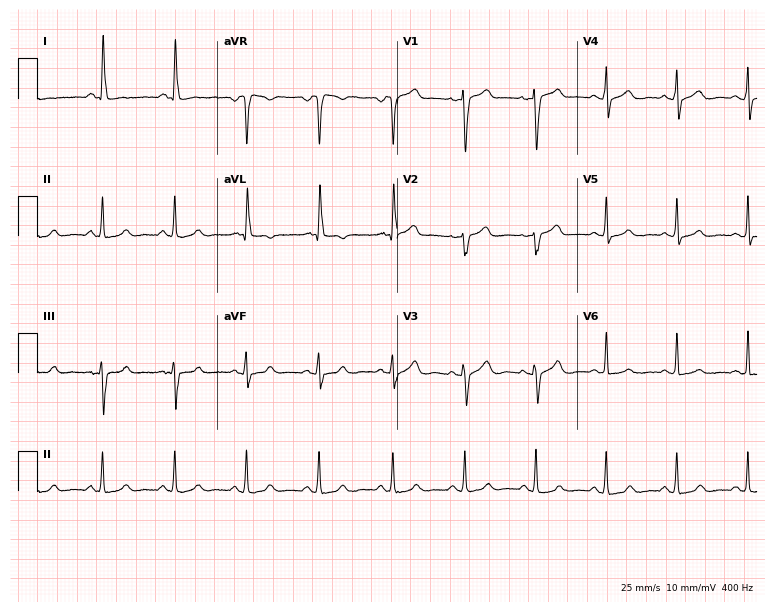
12-lead ECG from a female patient, 57 years old. Recorded interpretation: within normal limits.